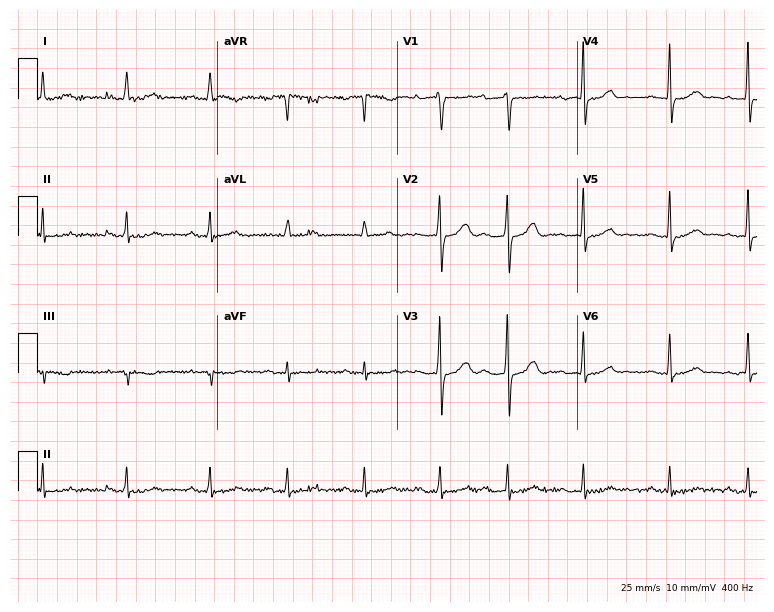
ECG (7.3-second recording at 400 Hz) — a 79-year-old female. Labelled as a normal ECG.